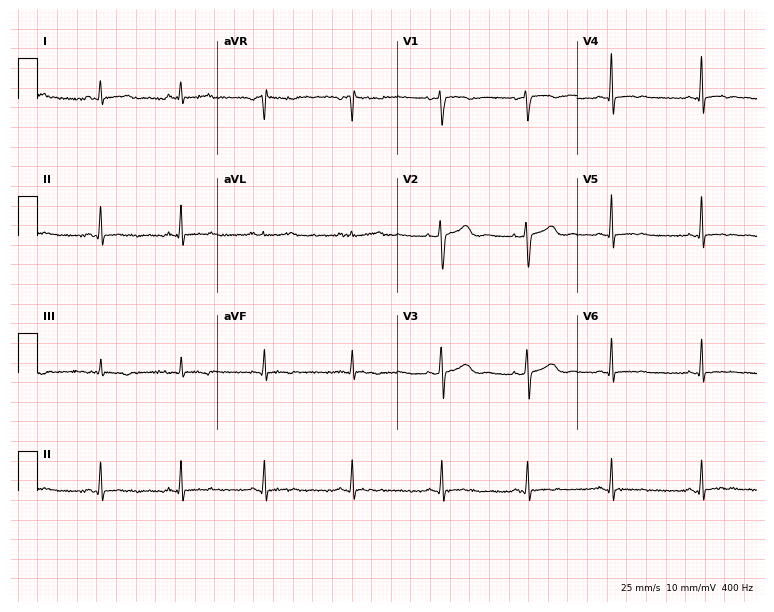
Electrocardiogram (7.3-second recording at 400 Hz), a 49-year-old female patient. Of the six screened findings (first-degree AV block, right bundle branch block, left bundle branch block, sinus bradycardia, atrial fibrillation, sinus tachycardia), none is recorded.